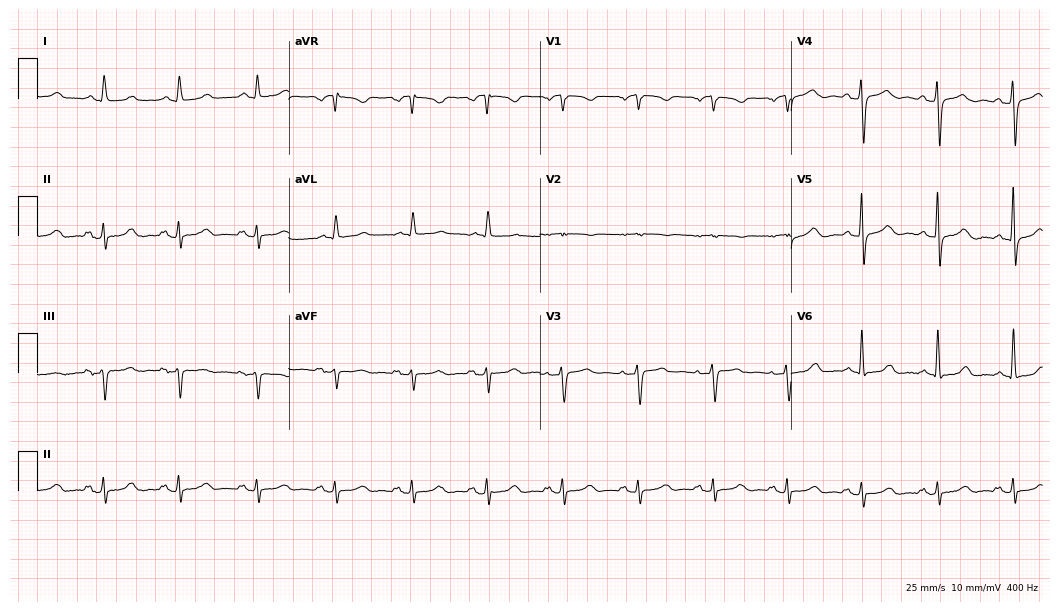
Resting 12-lead electrocardiogram. Patient: a 66-year-old woman. Read as a normal ECG.